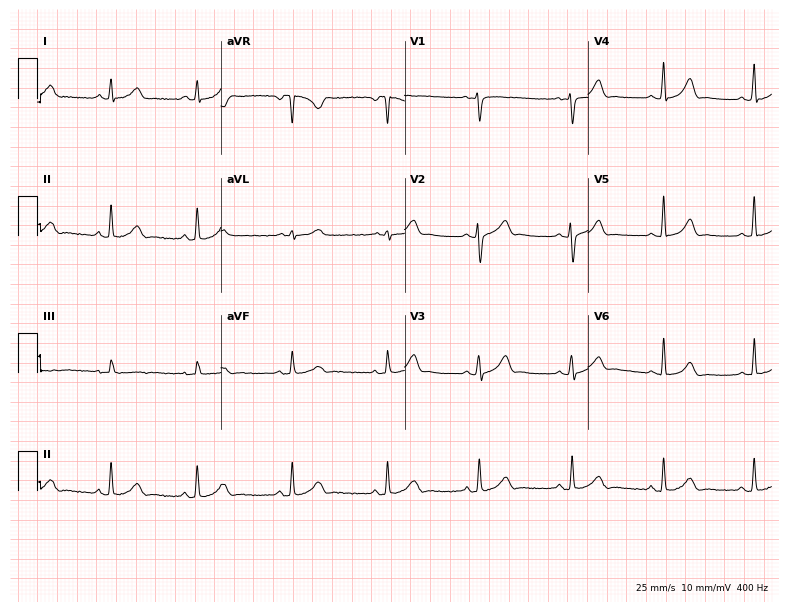
12-lead ECG from a 31-year-old woman. Recorded interpretation: within normal limits.